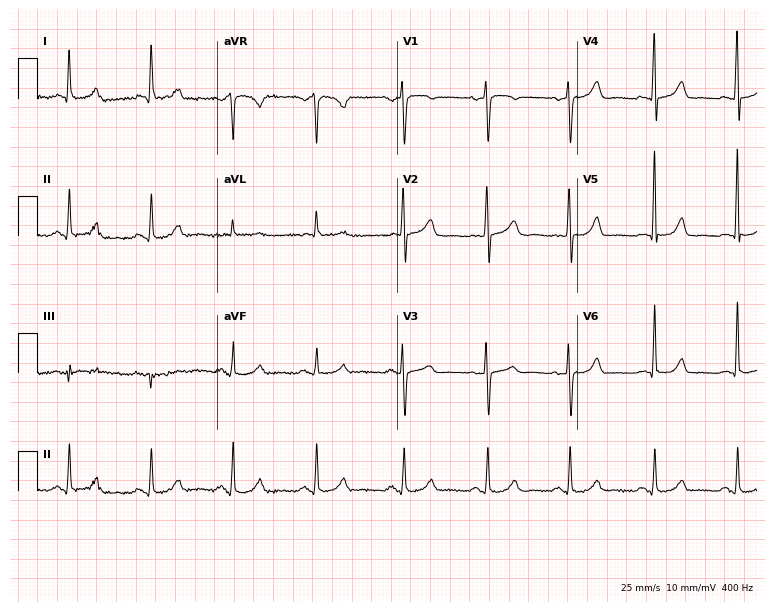
12-lead ECG from a female patient, 68 years old (7.3-second recording at 400 Hz). Recorded interpretation: within normal limits.